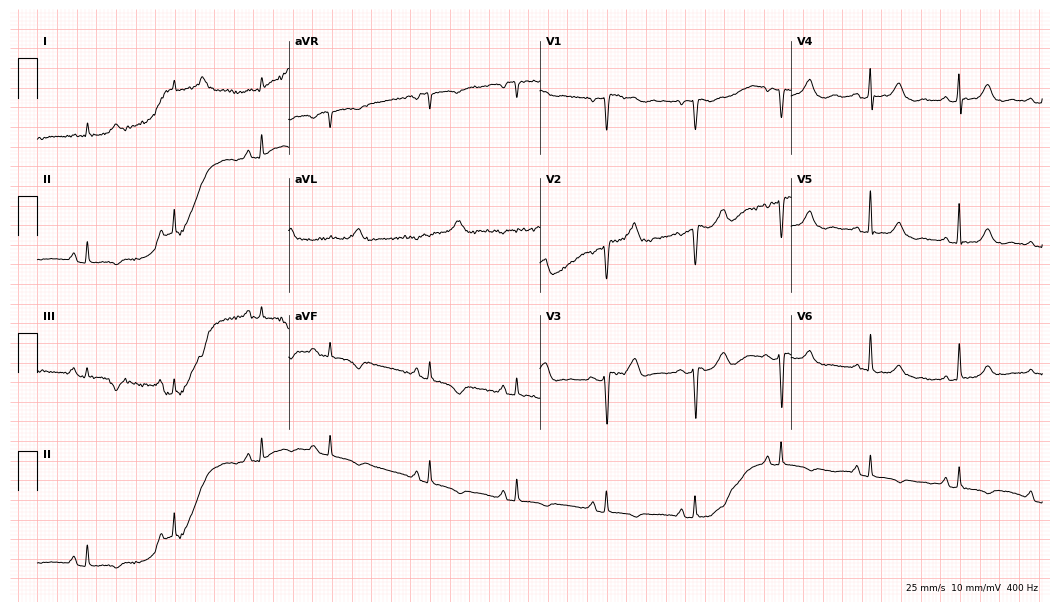
12-lead ECG (10.2-second recording at 400 Hz) from a woman, 68 years old. Screened for six findings — first-degree AV block, right bundle branch block, left bundle branch block, sinus bradycardia, atrial fibrillation, sinus tachycardia — none is recorded.